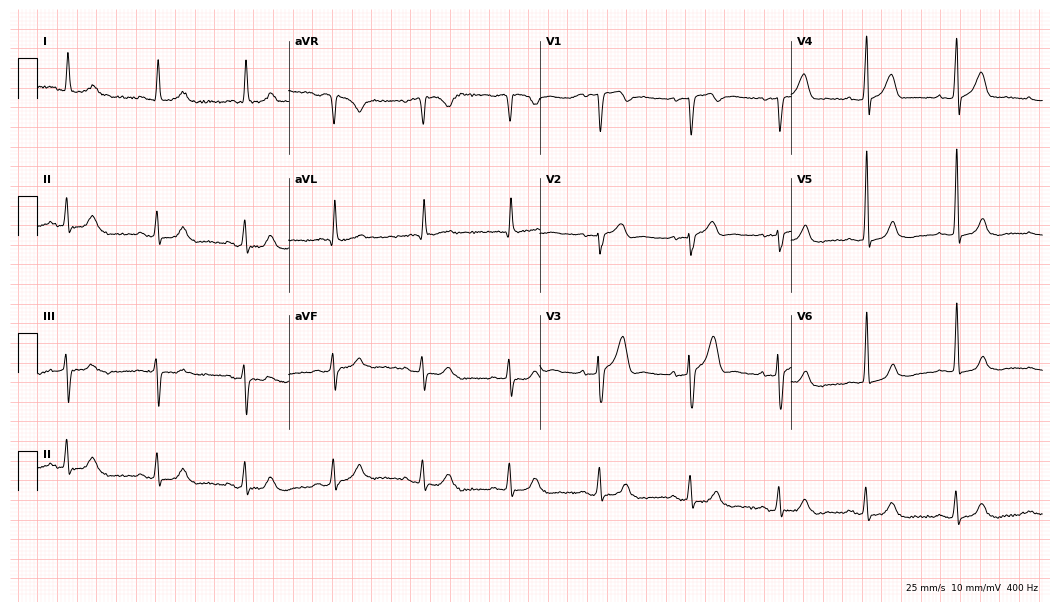
12-lead ECG (10.2-second recording at 400 Hz) from a 78-year-old man. Labelled as a normal ECG.